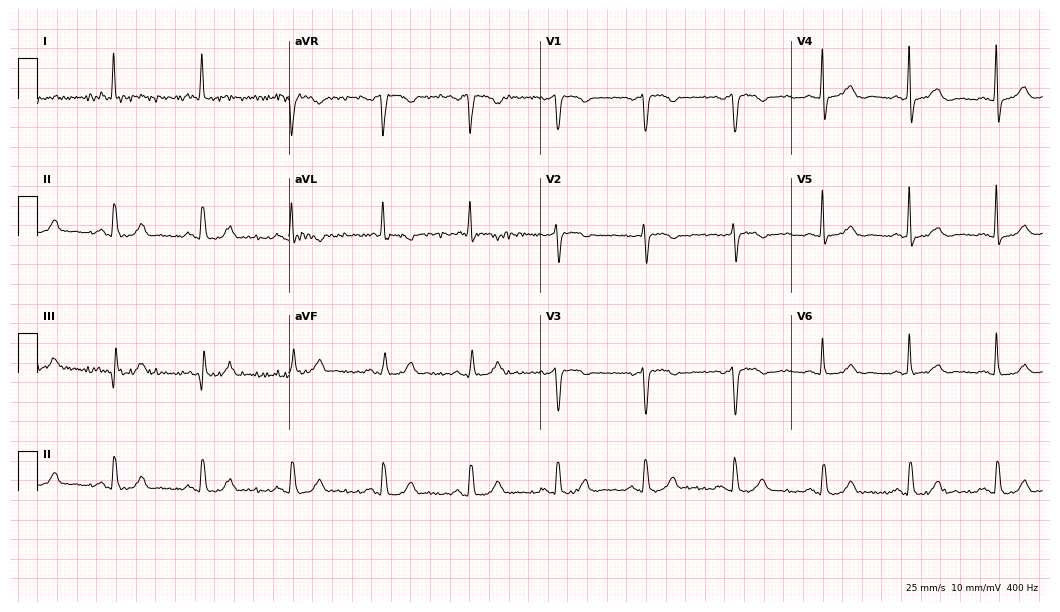
12-lead ECG from a female patient, 67 years old (10.2-second recording at 400 Hz). No first-degree AV block, right bundle branch block, left bundle branch block, sinus bradycardia, atrial fibrillation or sinus tachycardia recorded for this tracing.